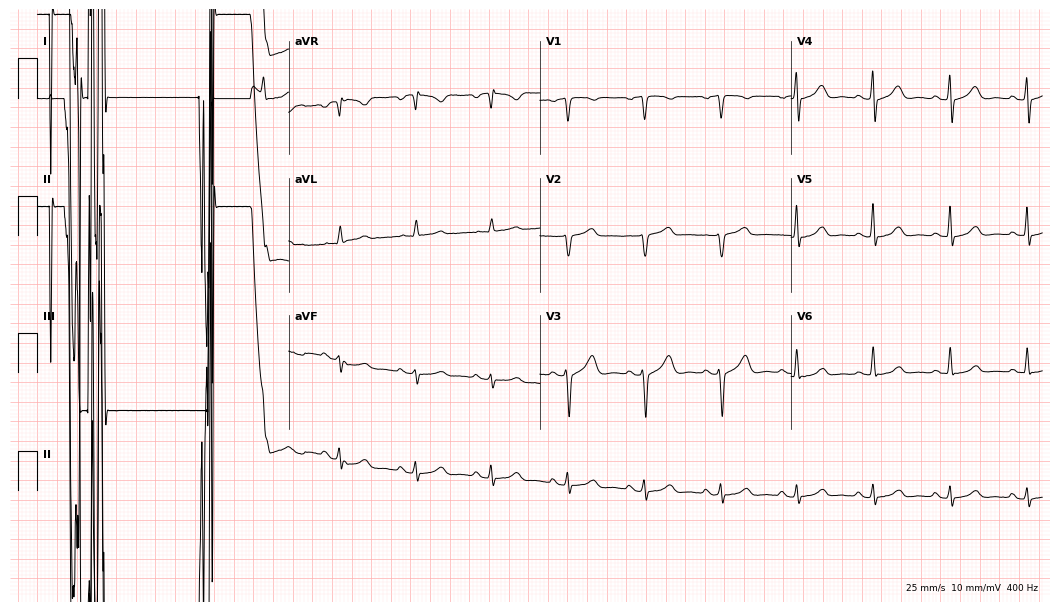
ECG — a 69-year-old male. Screened for six findings — first-degree AV block, right bundle branch block, left bundle branch block, sinus bradycardia, atrial fibrillation, sinus tachycardia — none is recorded.